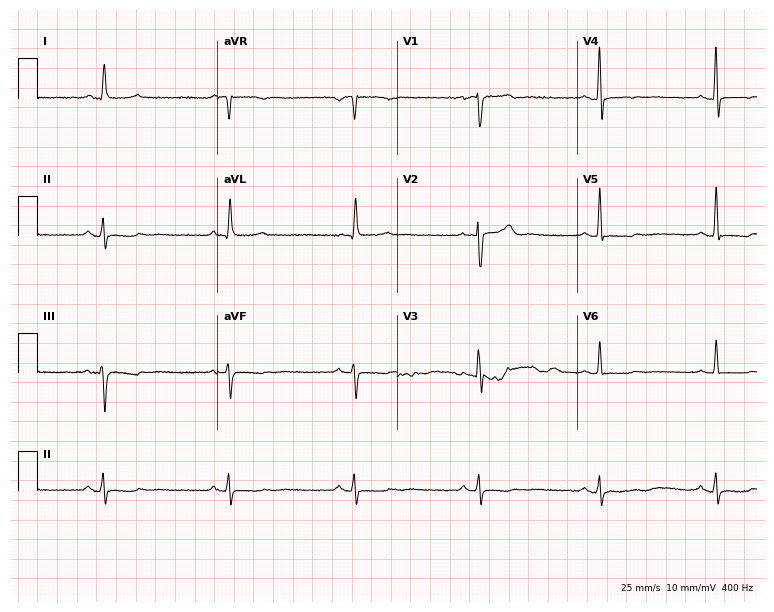
Resting 12-lead electrocardiogram. Patient: a female, 77 years old. The tracing shows sinus bradycardia (a sinus rate of 50 beats per minute or less).